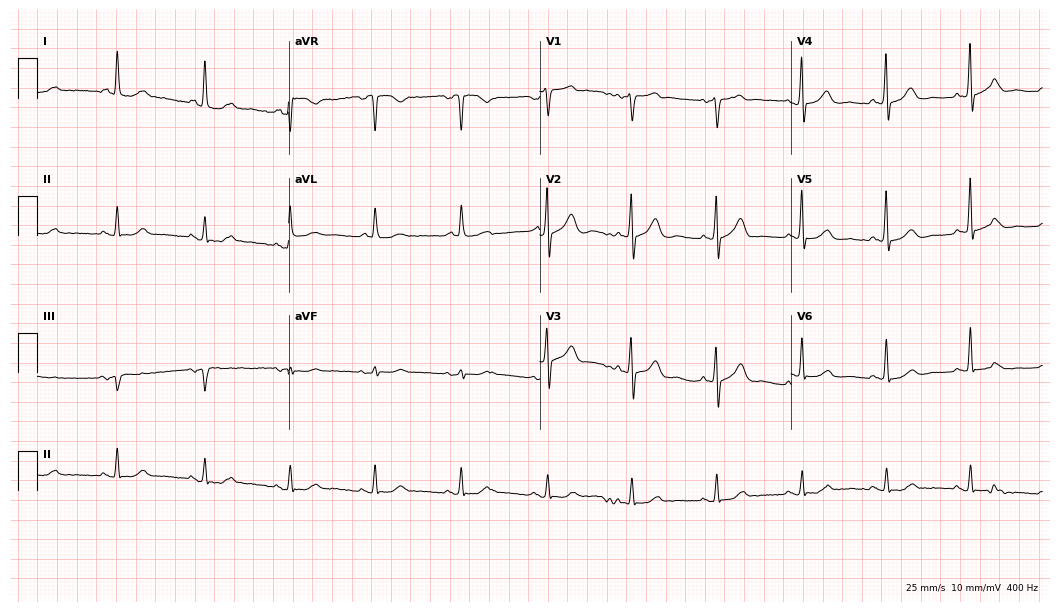
12-lead ECG from a male patient, 76 years old. Labelled as a normal ECG.